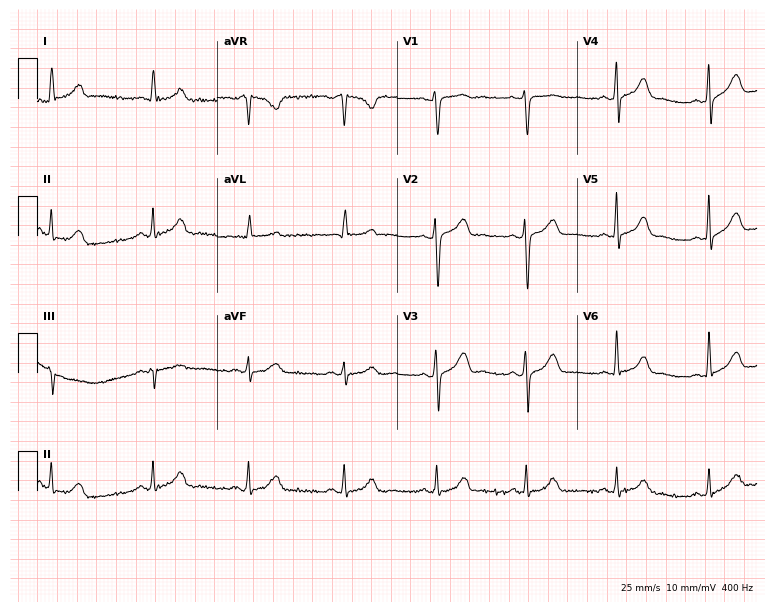
ECG — a female patient, 55 years old. Labelled as a normal ECG.